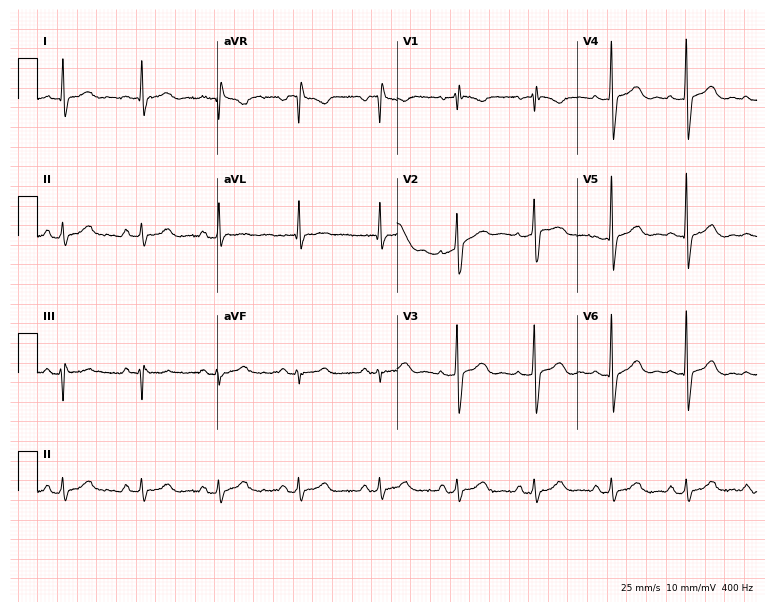
12-lead ECG from a woman, 49 years old (7.3-second recording at 400 Hz). Recorded interpretation: within normal limits.